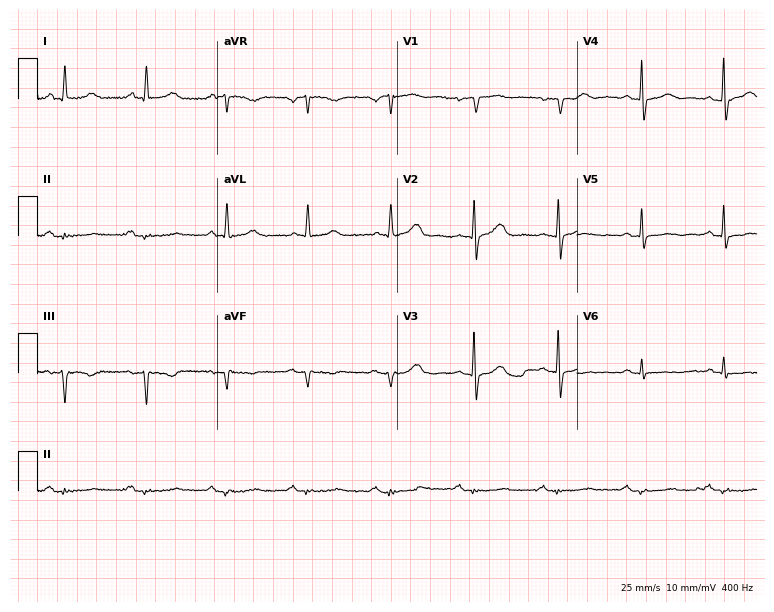
Resting 12-lead electrocardiogram. Patient: a 63-year-old woman. None of these six findings is recorded: first-degree AV block, right bundle branch block, left bundle branch block, sinus bradycardia, atrial fibrillation, sinus tachycardia. Only these six findings were labelled.